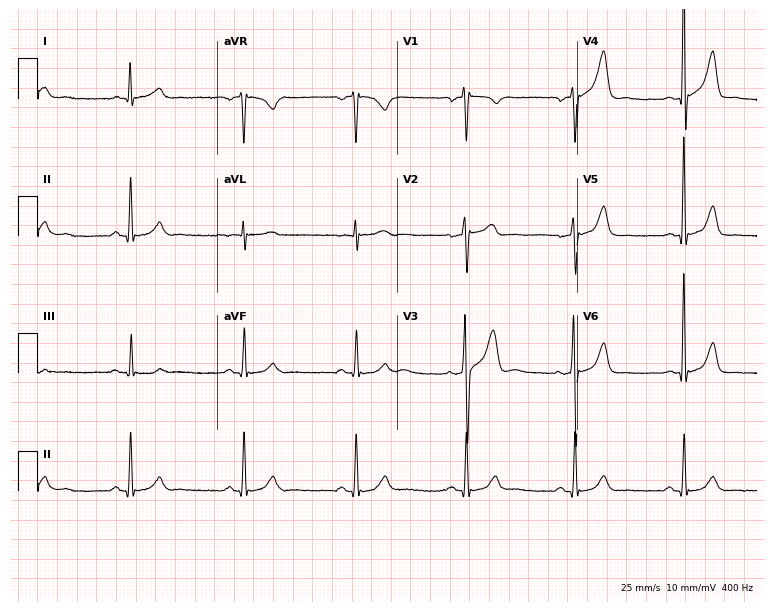
12-lead ECG from a 55-year-old man (7.3-second recording at 400 Hz). Recorded interpretation: within normal limits.